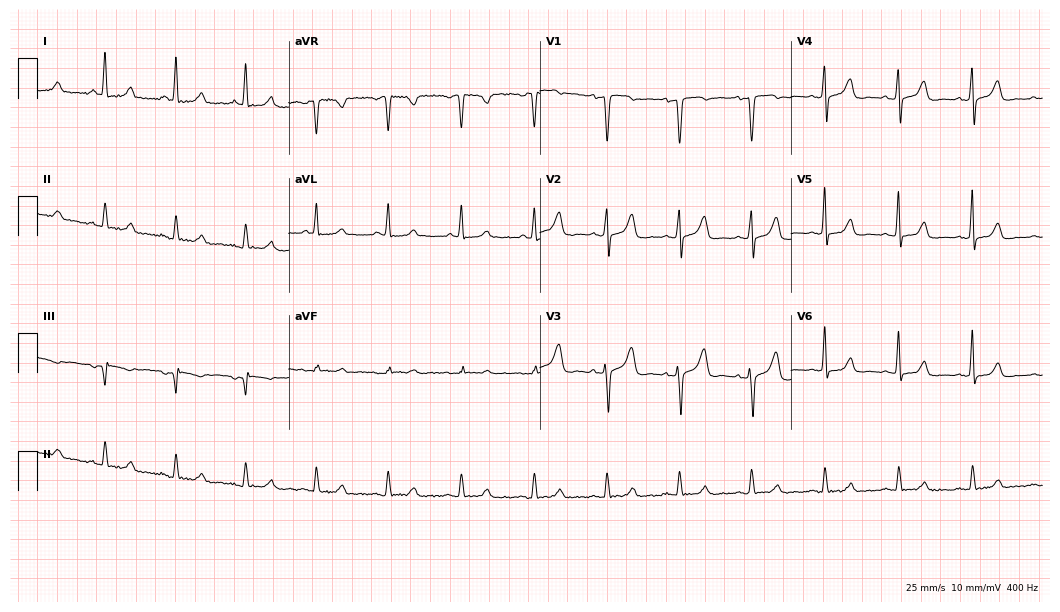
Standard 12-lead ECG recorded from a 48-year-old female. Read as a normal ECG.